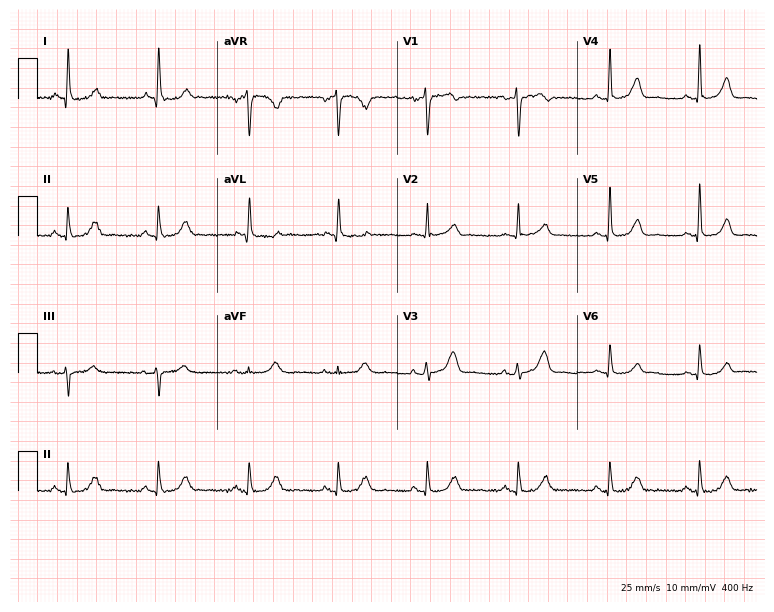
ECG (7.3-second recording at 400 Hz) — a 76-year-old female patient. Labelled as a normal ECG.